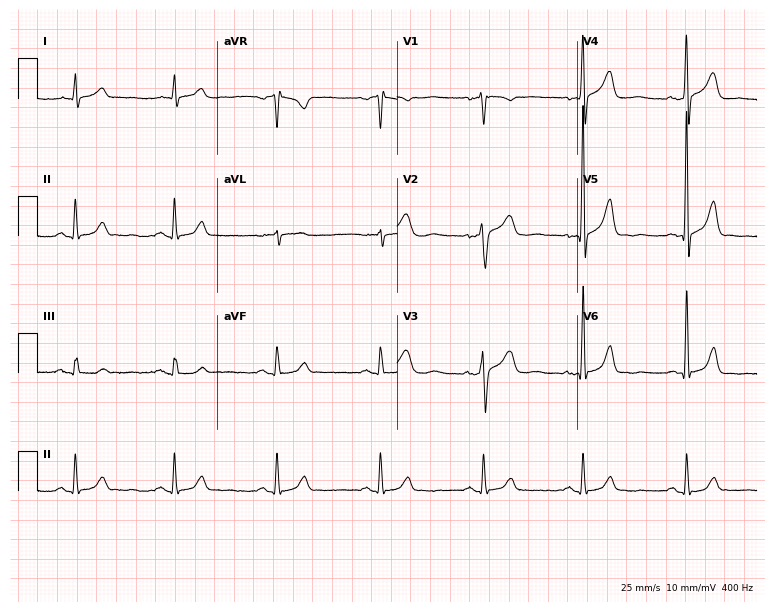
12-lead ECG from a man, 61 years old. Screened for six findings — first-degree AV block, right bundle branch block, left bundle branch block, sinus bradycardia, atrial fibrillation, sinus tachycardia — none is recorded. Only these six findings were labelled.